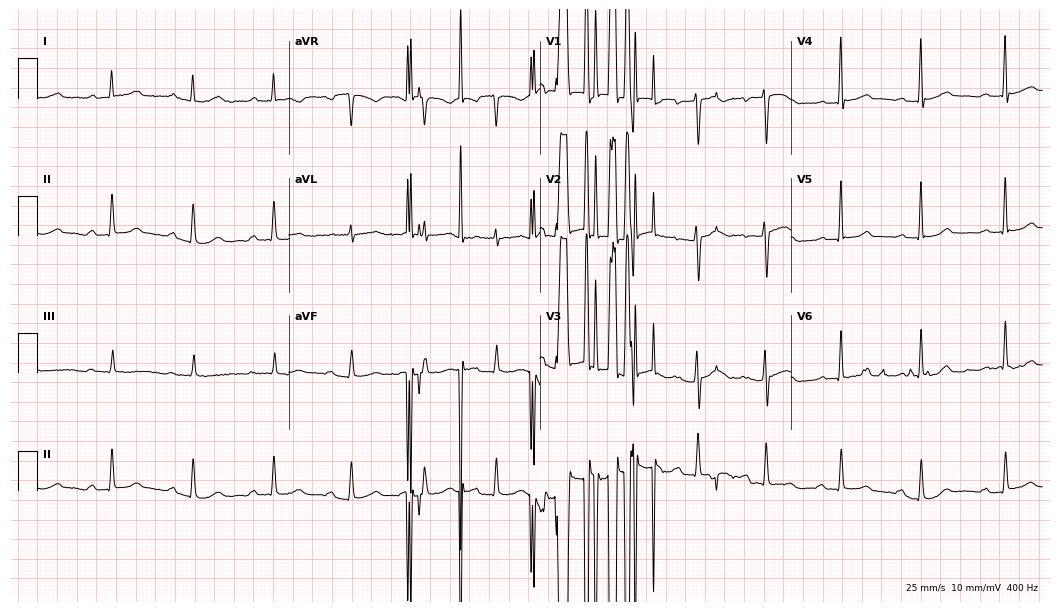
12-lead ECG from a woman, 43 years old. Screened for six findings — first-degree AV block, right bundle branch block, left bundle branch block, sinus bradycardia, atrial fibrillation, sinus tachycardia — none is recorded. Findings outside these six are not listed.